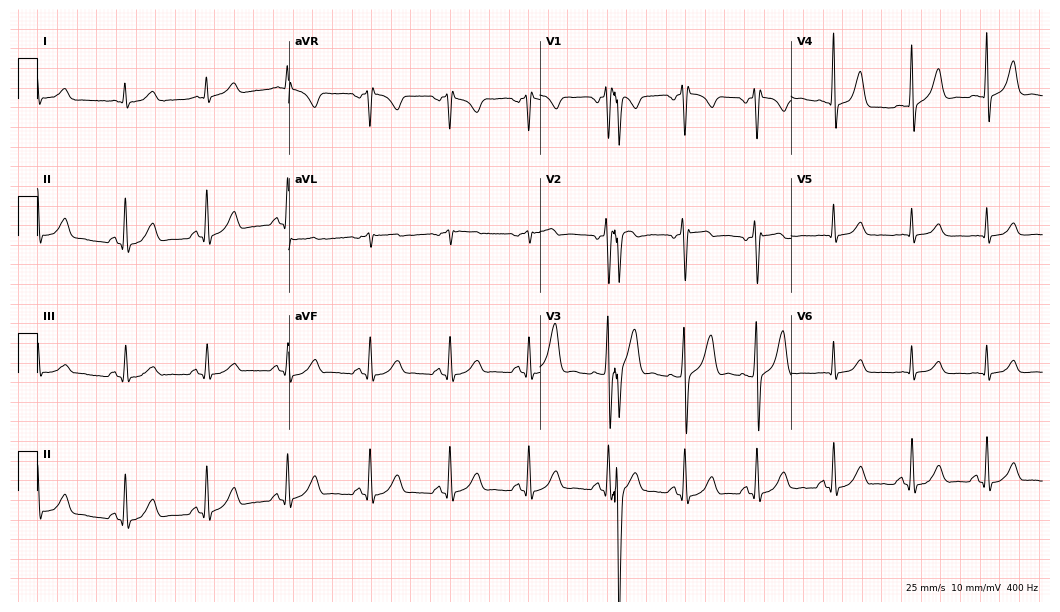
Standard 12-lead ECG recorded from a 31-year-old male patient. None of these six findings is recorded: first-degree AV block, right bundle branch block, left bundle branch block, sinus bradycardia, atrial fibrillation, sinus tachycardia. Other findings, if any, are not listed.